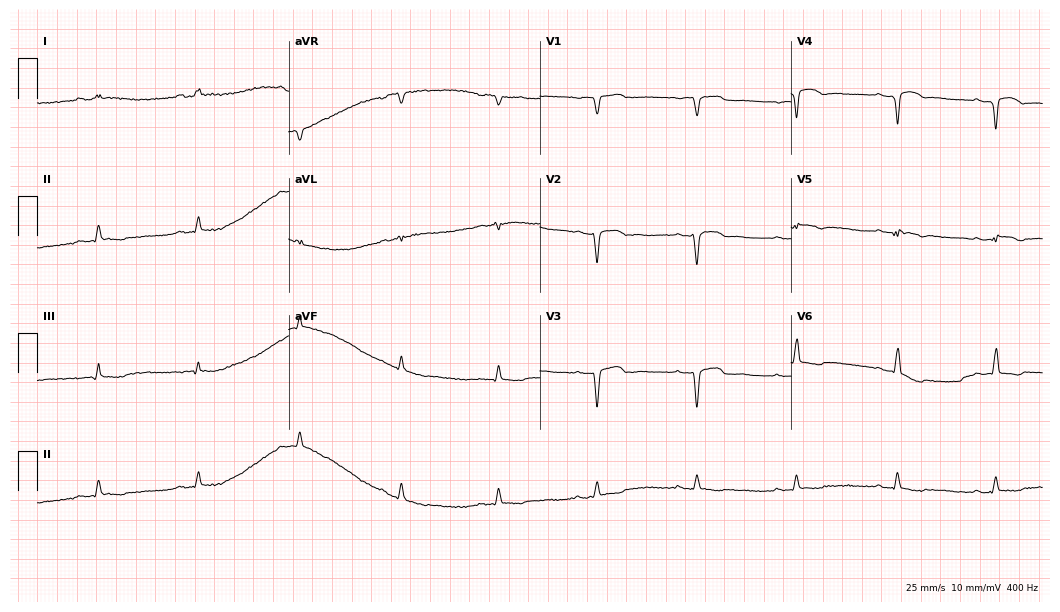
Standard 12-lead ECG recorded from a male patient, 61 years old (10.2-second recording at 400 Hz). None of these six findings is recorded: first-degree AV block, right bundle branch block (RBBB), left bundle branch block (LBBB), sinus bradycardia, atrial fibrillation (AF), sinus tachycardia. Other findings, if any, are not listed.